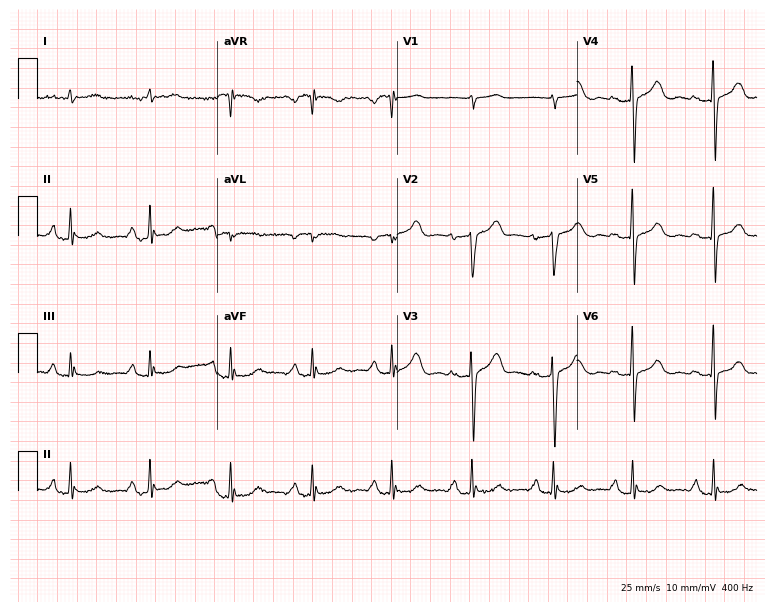
12-lead ECG from a 70-year-old male. No first-degree AV block, right bundle branch block, left bundle branch block, sinus bradycardia, atrial fibrillation or sinus tachycardia recorded for this tracing. Other findings, if any, are not listed.